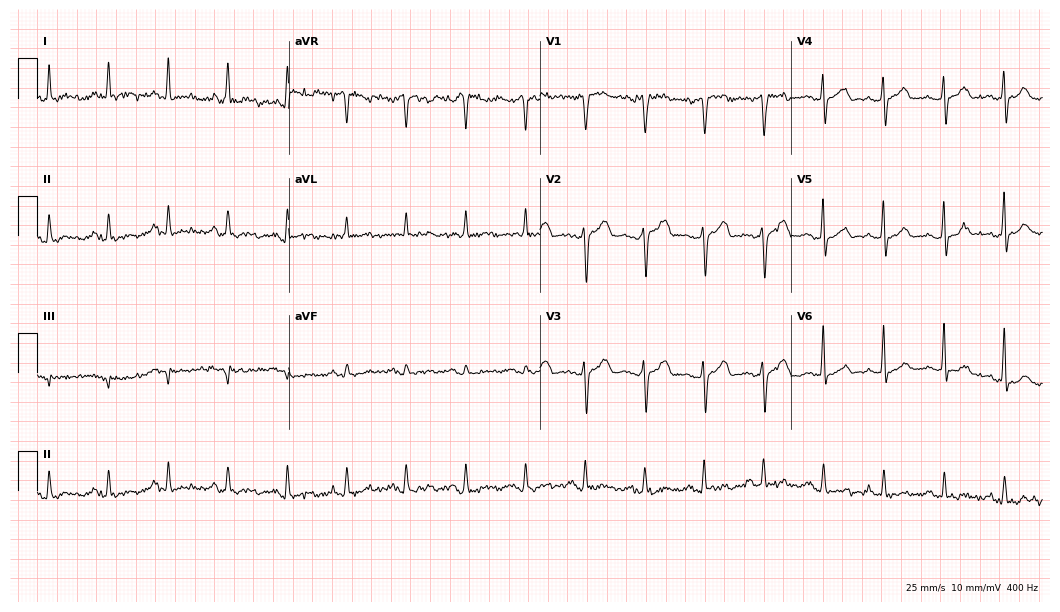
Electrocardiogram, a male, 66 years old. Overall reading on record: normal ECG.